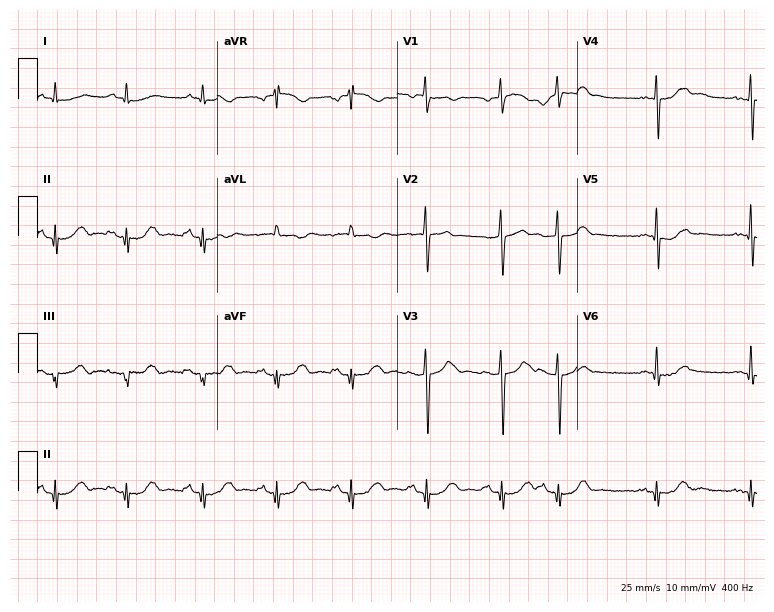
ECG — a male, 77 years old. Labelled as a normal ECG.